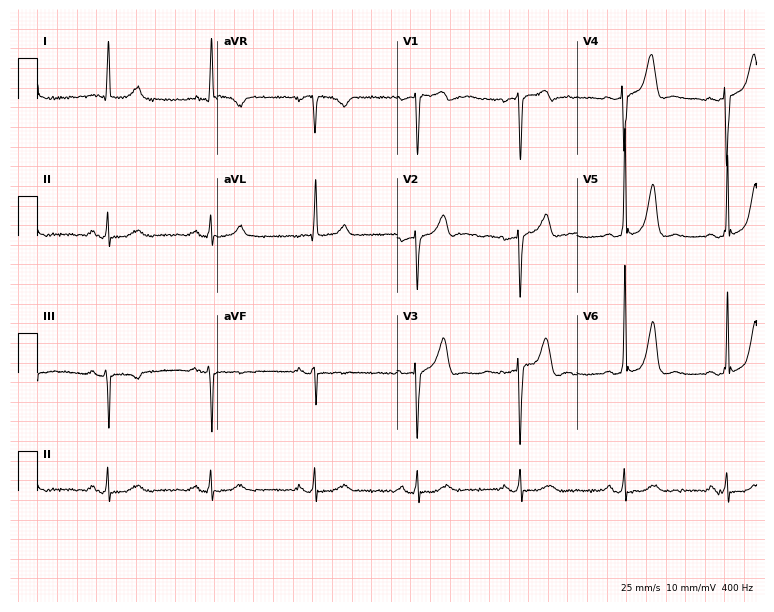
ECG — a 78-year-old male patient. Labelled as a normal ECG.